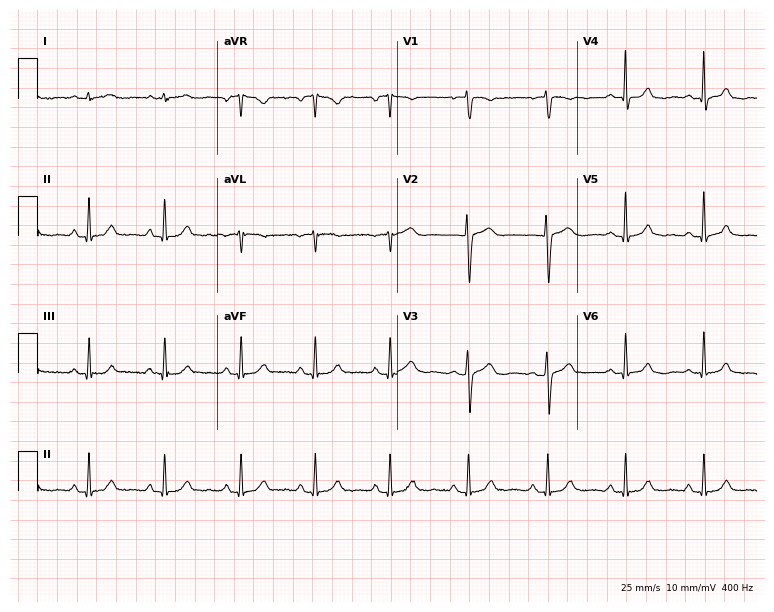
ECG (7.3-second recording at 400 Hz) — a woman, 43 years old. Labelled as a normal ECG.